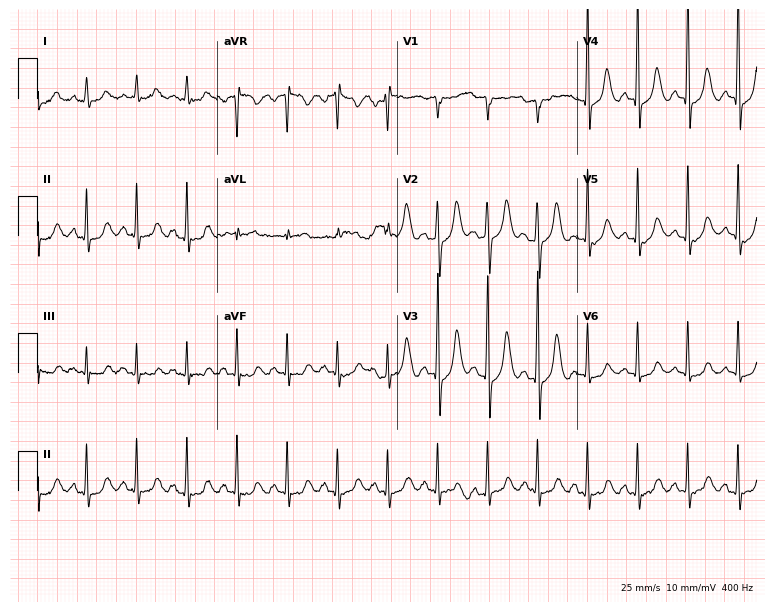
12-lead ECG from a 79-year-old female patient (7.3-second recording at 400 Hz). No first-degree AV block, right bundle branch block (RBBB), left bundle branch block (LBBB), sinus bradycardia, atrial fibrillation (AF) or sinus tachycardia recorded for this tracing. Other findings, if any, are not listed.